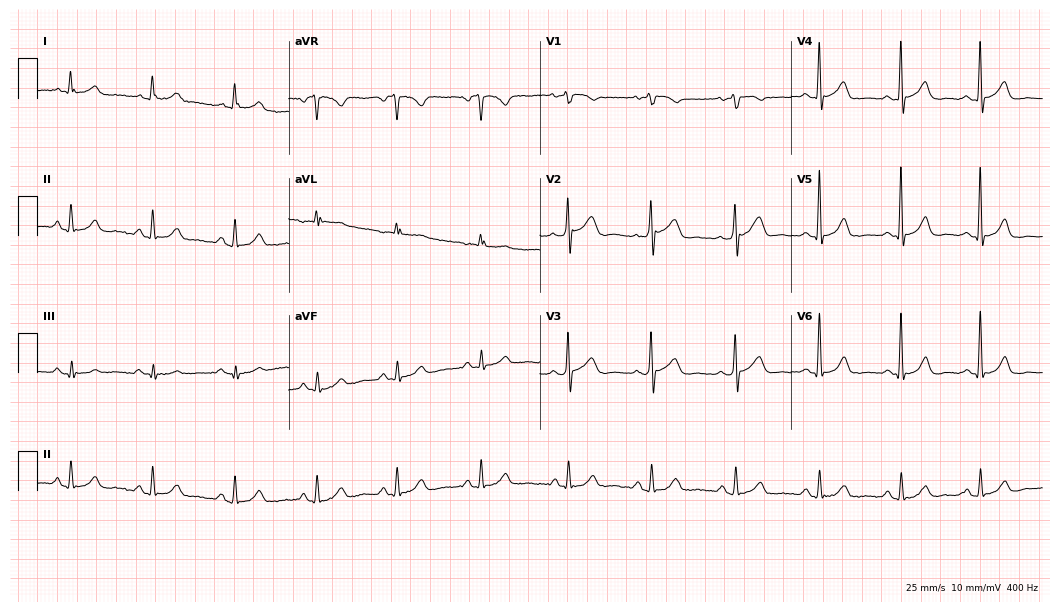
12-lead ECG from a woman, 70 years old (10.2-second recording at 400 Hz). Recorded interpretation: within normal limits.